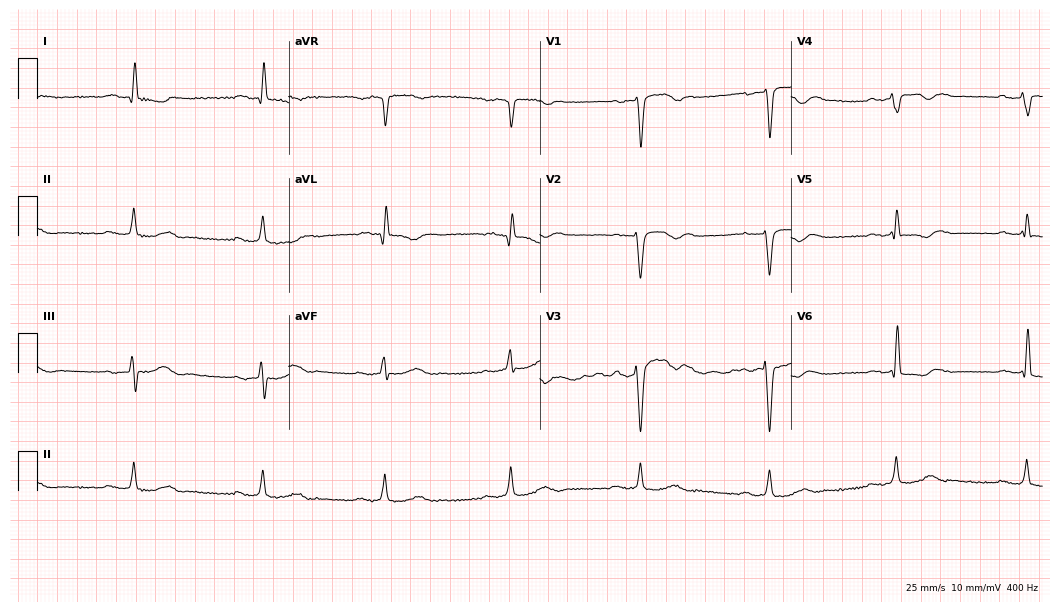
Standard 12-lead ECG recorded from a 63-year-old man (10.2-second recording at 400 Hz). The tracing shows sinus bradycardia (a sinus rate of 50 beats per minute or less).